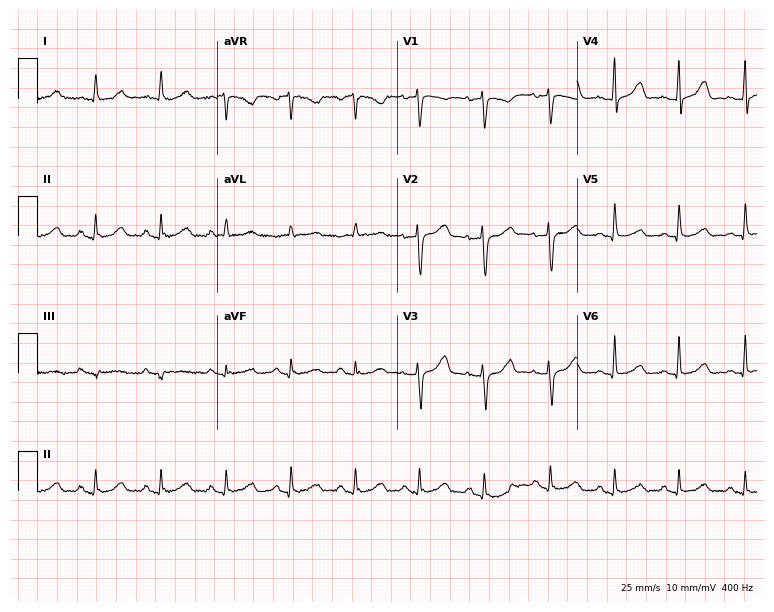
Electrocardiogram, a female, 55 years old. Of the six screened findings (first-degree AV block, right bundle branch block (RBBB), left bundle branch block (LBBB), sinus bradycardia, atrial fibrillation (AF), sinus tachycardia), none is recorded.